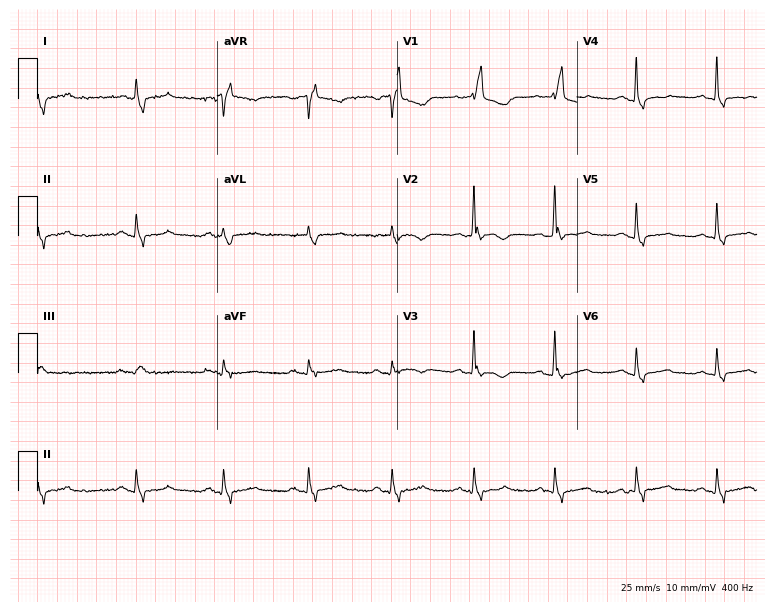
12-lead ECG from a 73-year-old female. Shows right bundle branch block.